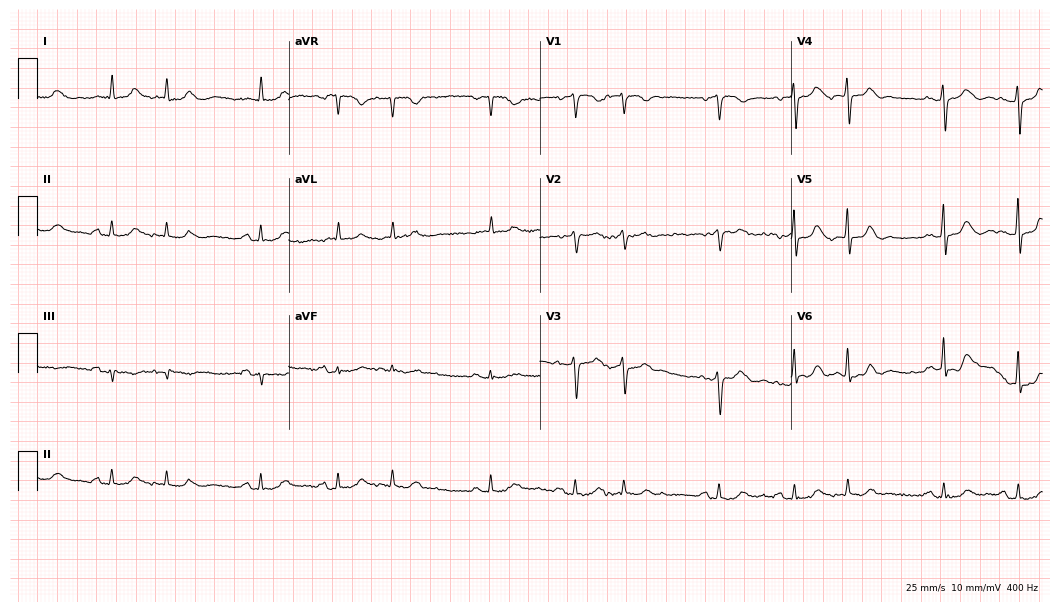
Standard 12-lead ECG recorded from a female patient, 82 years old (10.2-second recording at 400 Hz). Read as a normal ECG.